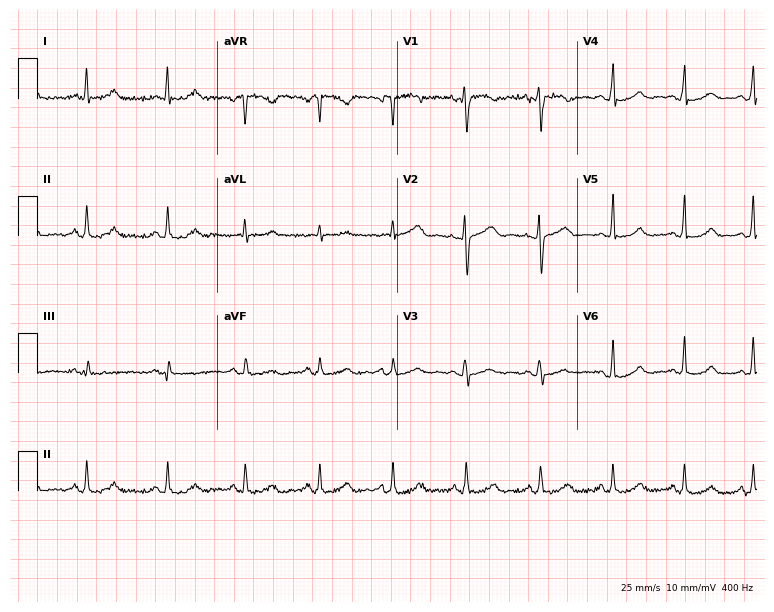
ECG (7.3-second recording at 400 Hz) — a female patient, 35 years old. Labelled as a normal ECG.